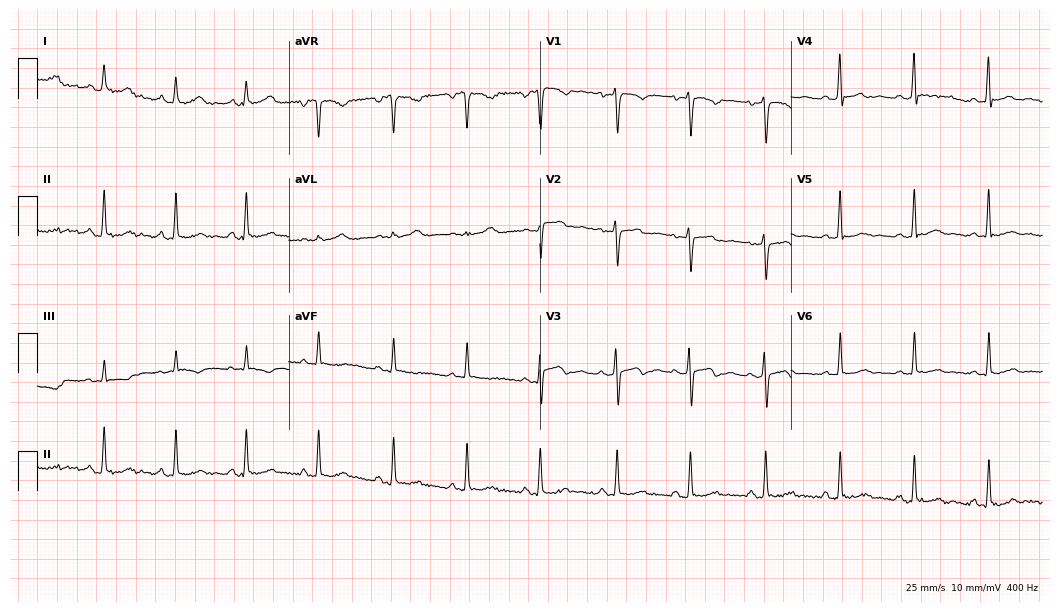
Electrocardiogram (10.2-second recording at 400 Hz), a female patient, 21 years old. Of the six screened findings (first-degree AV block, right bundle branch block, left bundle branch block, sinus bradycardia, atrial fibrillation, sinus tachycardia), none is recorded. Other findings, if any, are not listed.